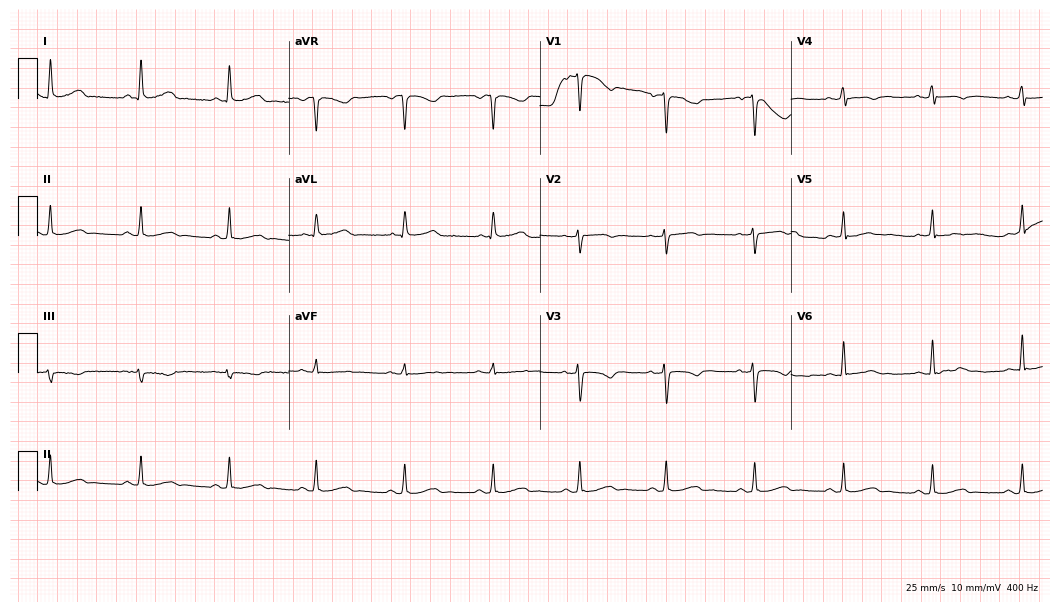
12-lead ECG (10.2-second recording at 400 Hz) from a 63-year-old female. Screened for six findings — first-degree AV block, right bundle branch block, left bundle branch block, sinus bradycardia, atrial fibrillation, sinus tachycardia — none is recorded.